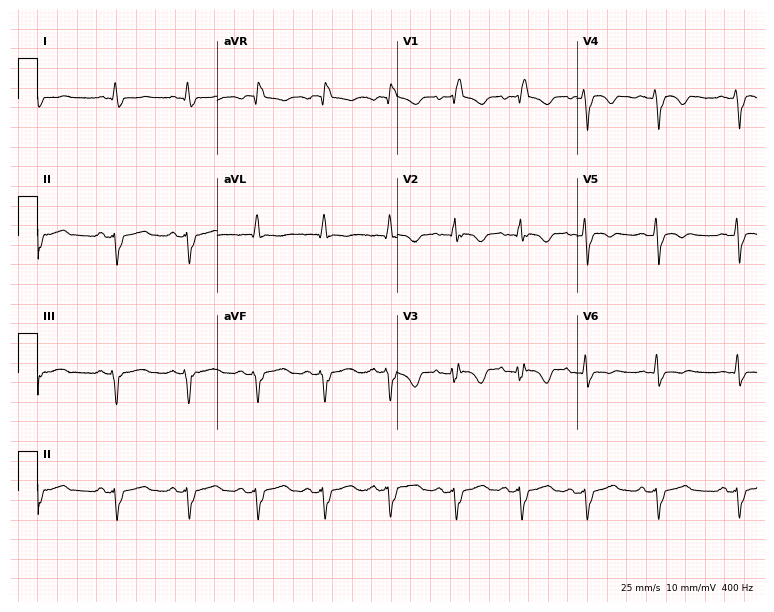
ECG — a female patient, 36 years old. Findings include right bundle branch block.